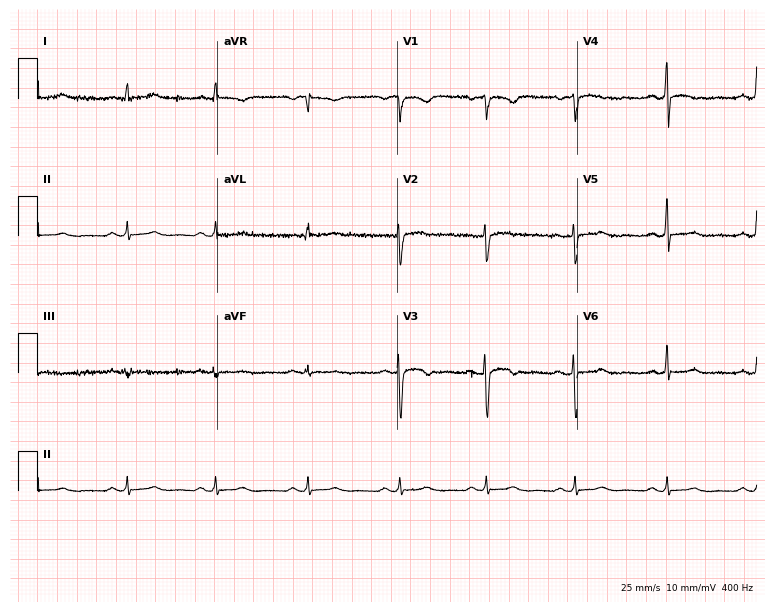
12-lead ECG from a 40-year-old woman. No first-degree AV block, right bundle branch block, left bundle branch block, sinus bradycardia, atrial fibrillation or sinus tachycardia recorded for this tracing. Only these six findings were labelled.